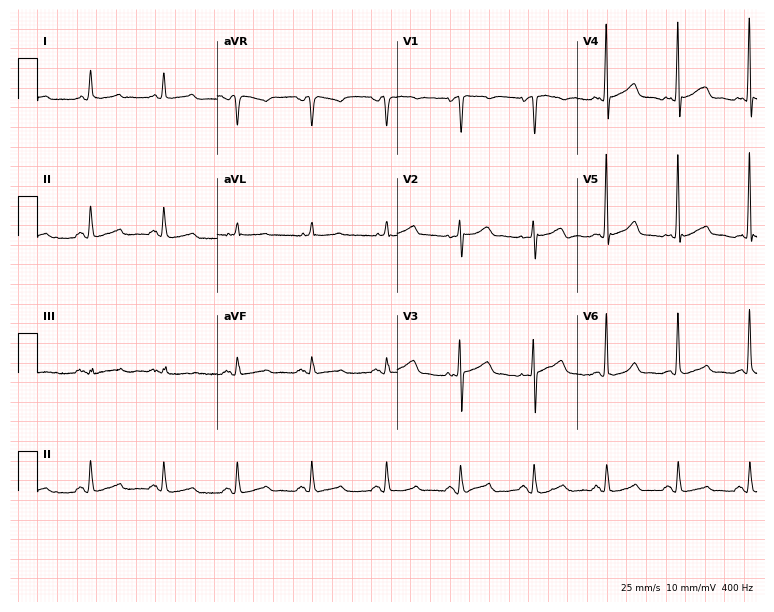
12-lead ECG (7.3-second recording at 400 Hz) from a female patient, 51 years old. Screened for six findings — first-degree AV block, right bundle branch block, left bundle branch block, sinus bradycardia, atrial fibrillation, sinus tachycardia — none is recorded.